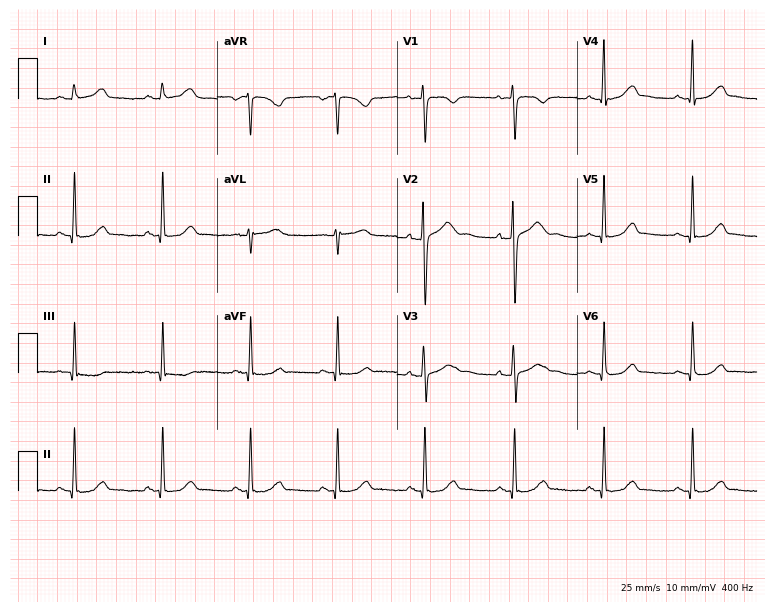
Electrocardiogram, a female patient, 41 years old. Of the six screened findings (first-degree AV block, right bundle branch block, left bundle branch block, sinus bradycardia, atrial fibrillation, sinus tachycardia), none is recorded. Findings outside these six are not listed.